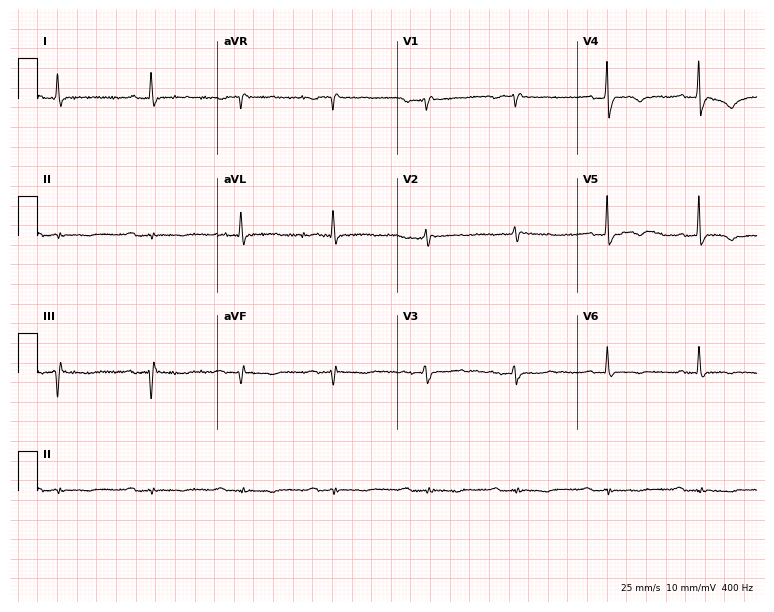
Electrocardiogram, a 75-year-old female patient. Of the six screened findings (first-degree AV block, right bundle branch block, left bundle branch block, sinus bradycardia, atrial fibrillation, sinus tachycardia), none is recorded. Other findings, if any, are not listed.